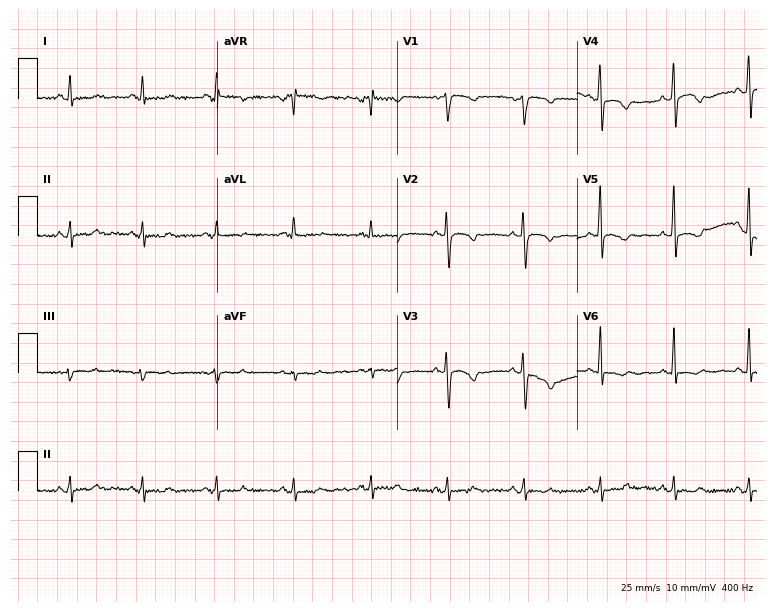
Electrocardiogram (7.3-second recording at 400 Hz), a 49-year-old female. Of the six screened findings (first-degree AV block, right bundle branch block, left bundle branch block, sinus bradycardia, atrial fibrillation, sinus tachycardia), none is recorded. Other findings, if any, are not listed.